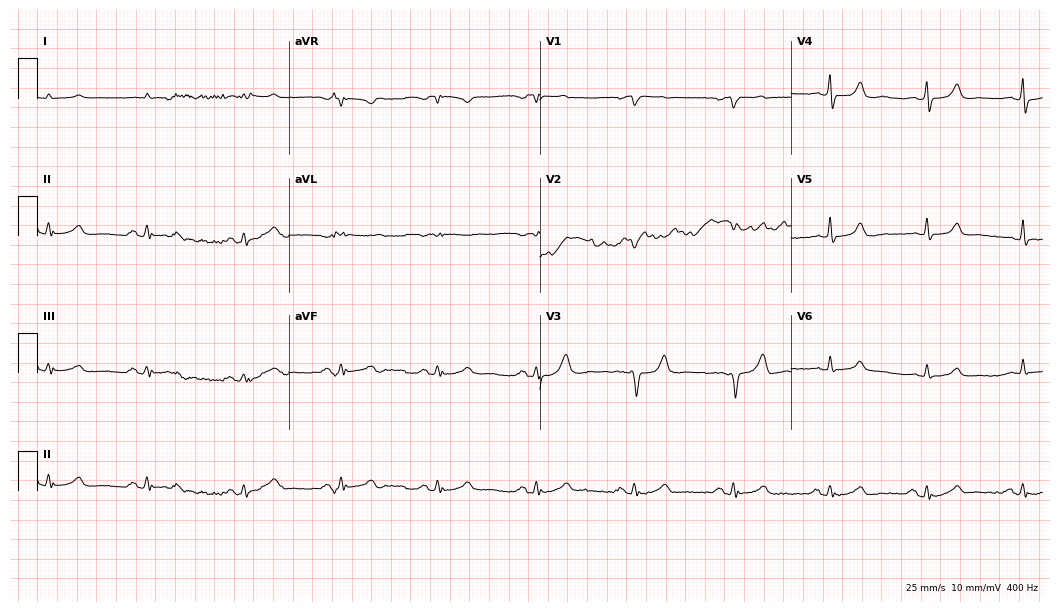
12-lead ECG from a man, 76 years old. No first-degree AV block, right bundle branch block, left bundle branch block, sinus bradycardia, atrial fibrillation or sinus tachycardia recorded for this tracing. Other findings, if any, are not listed.